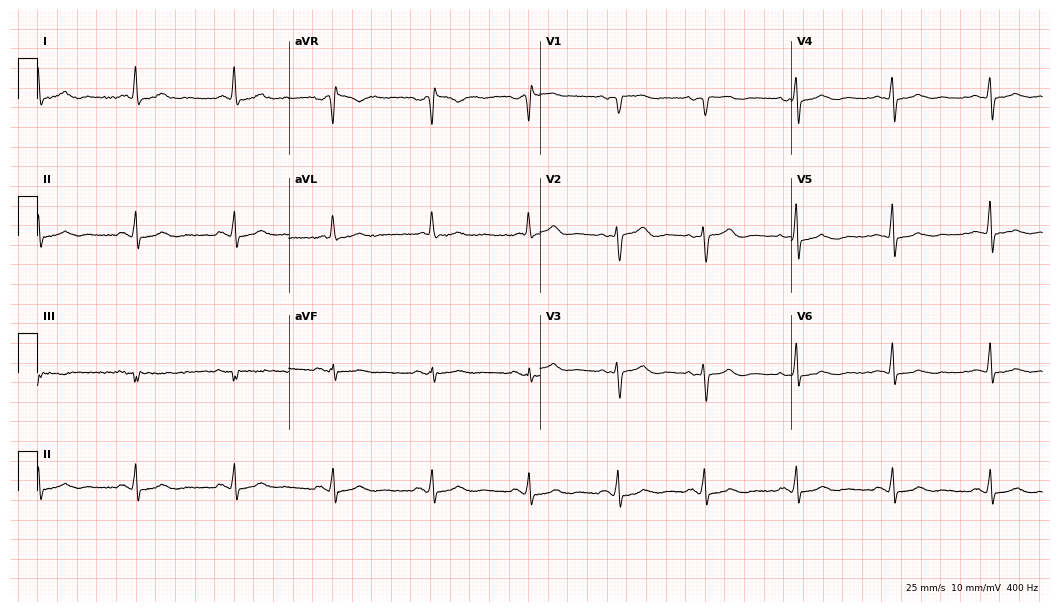
12-lead ECG from a 66-year-old woman (10.2-second recording at 400 Hz). No first-degree AV block, right bundle branch block (RBBB), left bundle branch block (LBBB), sinus bradycardia, atrial fibrillation (AF) or sinus tachycardia recorded for this tracing. Other findings, if any, are not listed.